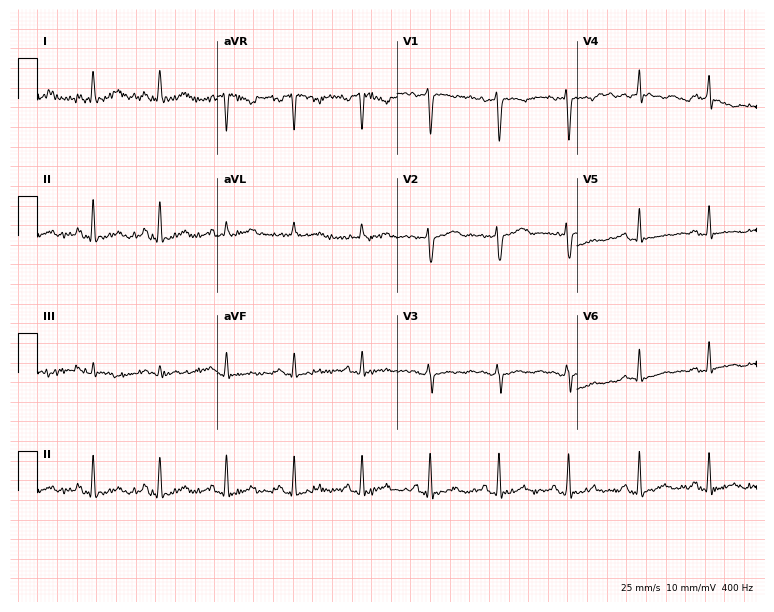
12-lead ECG from a 39-year-old female. Screened for six findings — first-degree AV block, right bundle branch block, left bundle branch block, sinus bradycardia, atrial fibrillation, sinus tachycardia — none is recorded. Findings outside these six are not listed.